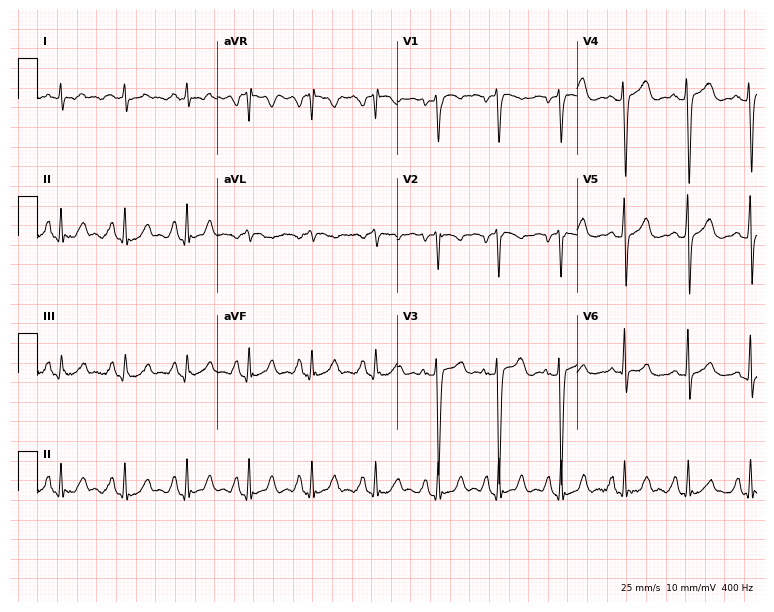
Electrocardiogram (7.3-second recording at 400 Hz), a 66-year-old male patient. Of the six screened findings (first-degree AV block, right bundle branch block, left bundle branch block, sinus bradycardia, atrial fibrillation, sinus tachycardia), none is recorded. Other findings, if any, are not listed.